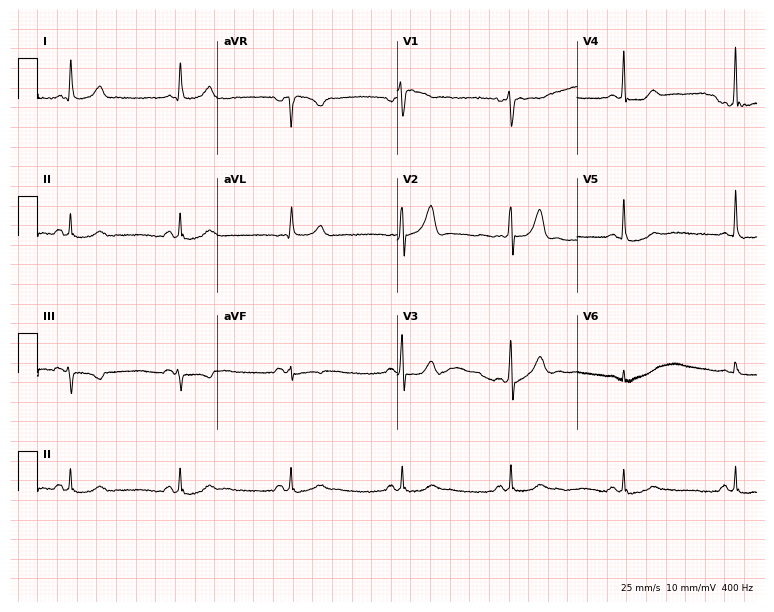
12-lead ECG from a 56-year-old male. Screened for six findings — first-degree AV block, right bundle branch block, left bundle branch block, sinus bradycardia, atrial fibrillation, sinus tachycardia — none is recorded.